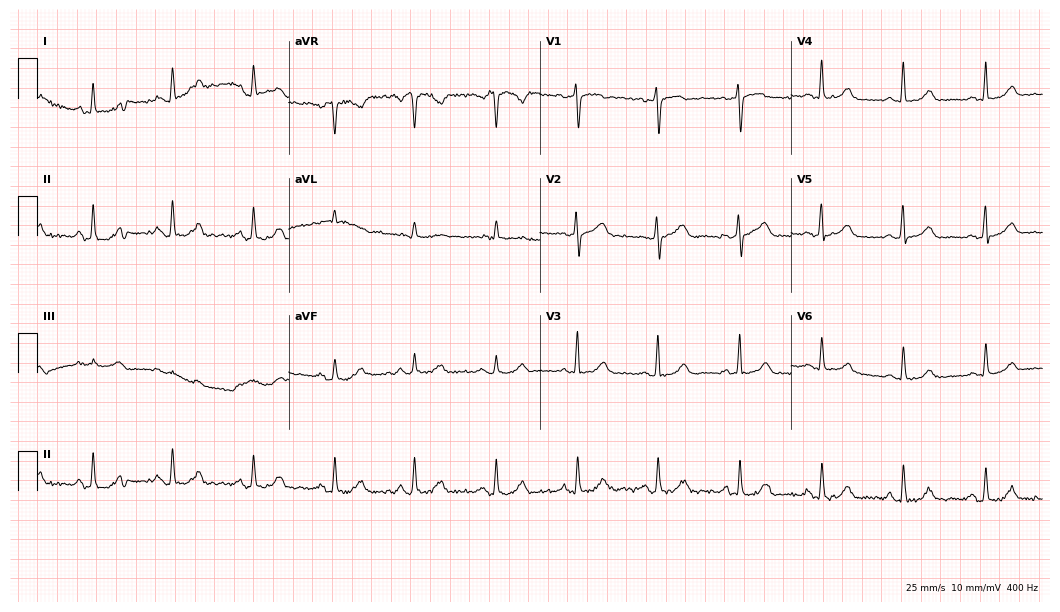
Standard 12-lead ECG recorded from a 62-year-old woman. Read as a normal ECG.